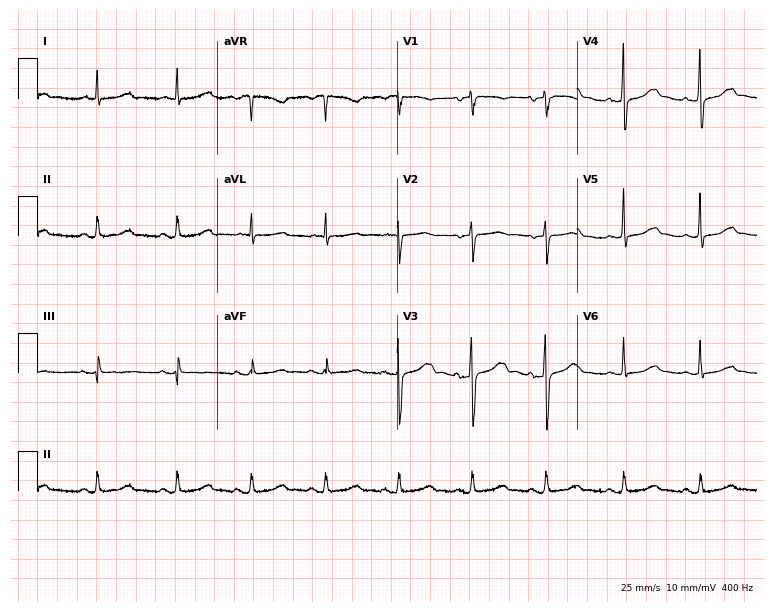
12-lead ECG from a female patient, 71 years old. Screened for six findings — first-degree AV block, right bundle branch block, left bundle branch block, sinus bradycardia, atrial fibrillation, sinus tachycardia — none is recorded. Findings outside these six are not listed.